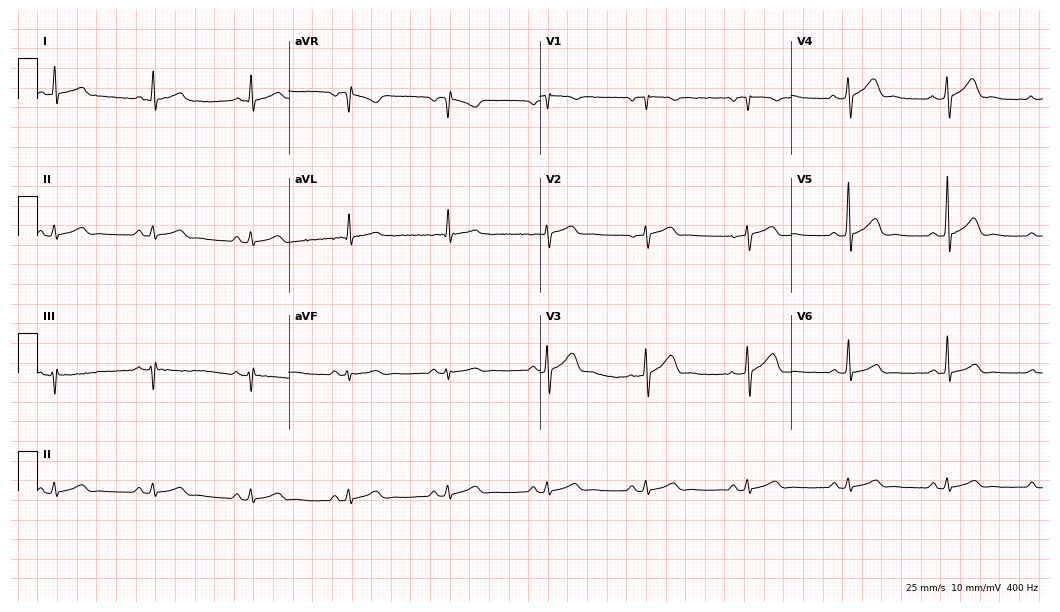
Standard 12-lead ECG recorded from a man, 68 years old (10.2-second recording at 400 Hz). Read as a normal ECG.